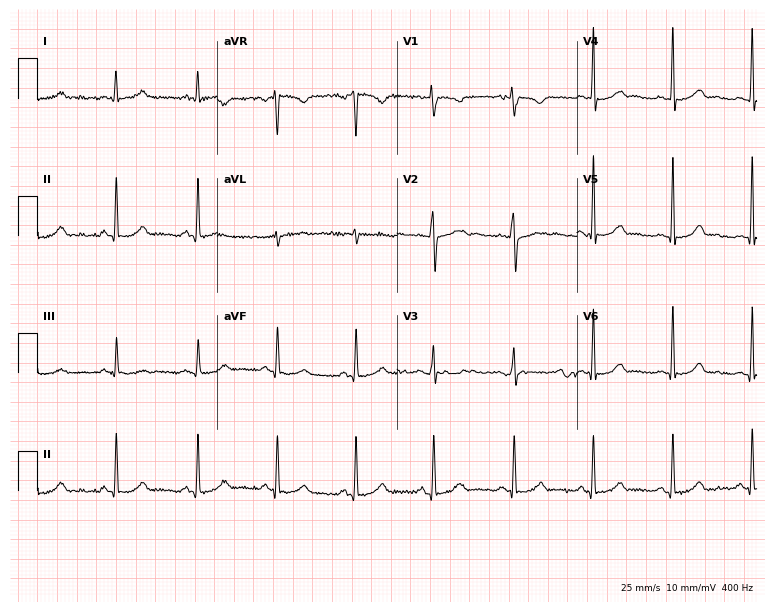
Electrocardiogram, a 35-year-old woman. Overall reading on record: normal ECG.